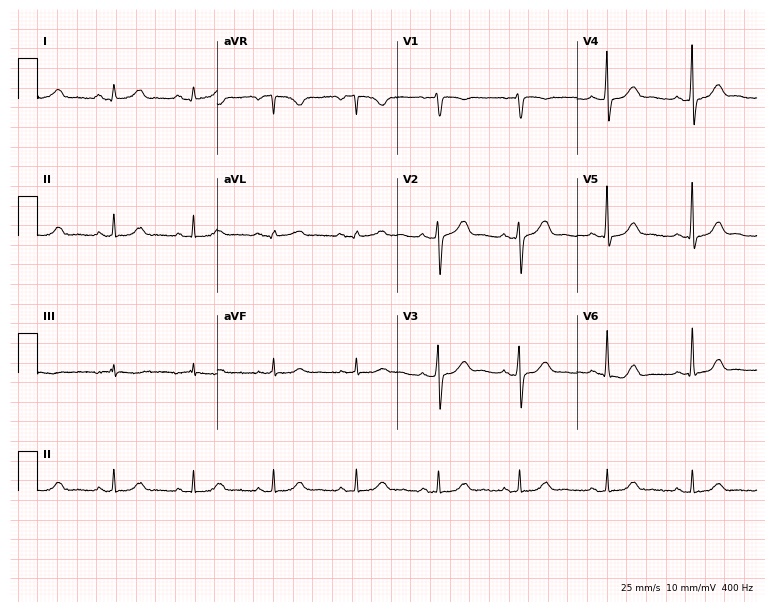
Electrocardiogram (7.3-second recording at 400 Hz), a female, 35 years old. Overall reading on record: normal ECG.